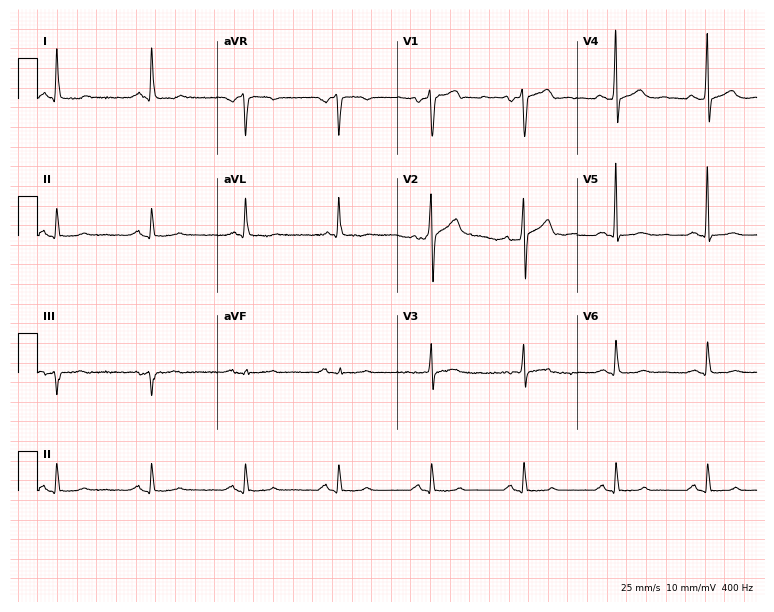
Resting 12-lead electrocardiogram. Patient: a male, 62 years old. None of these six findings is recorded: first-degree AV block, right bundle branch block, left bundle branch block, sinus bradycardia, atrial fibrillation, sinus tachycardia.